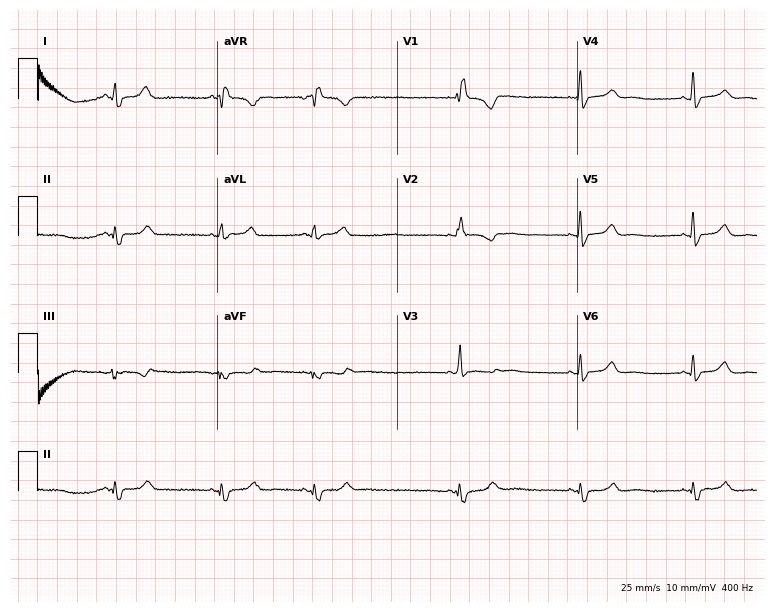
12-lead ECG from a female patient, 46 years old (7.3-second recording at 400 Hz). Shows right bundle branch block.